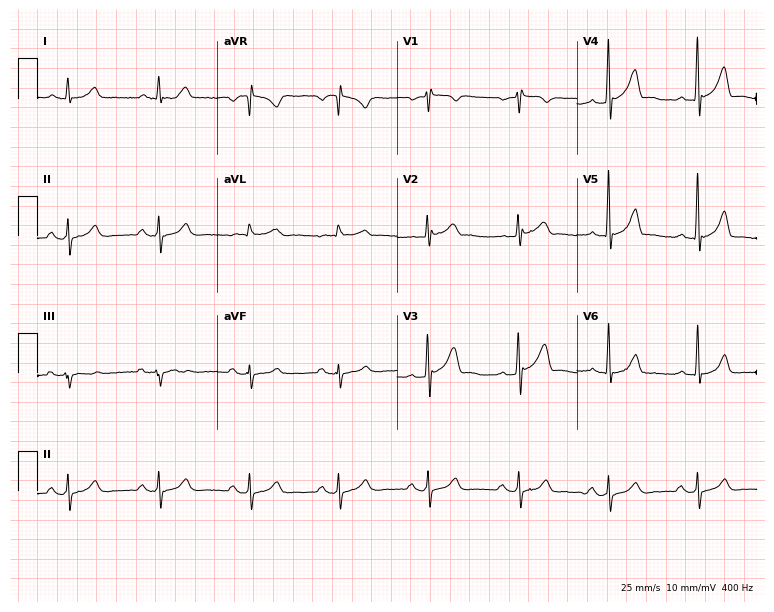
12-lead ECG from a 57-year-old male patient. No first-degree AV block, right bundle branch block (RBBB), left bundle branch block (LBBB), sinus bradycardia, atrial fibrillation (AF) or sinus tachycardia recorded for this tracing. Other findings, if any, are not listed.